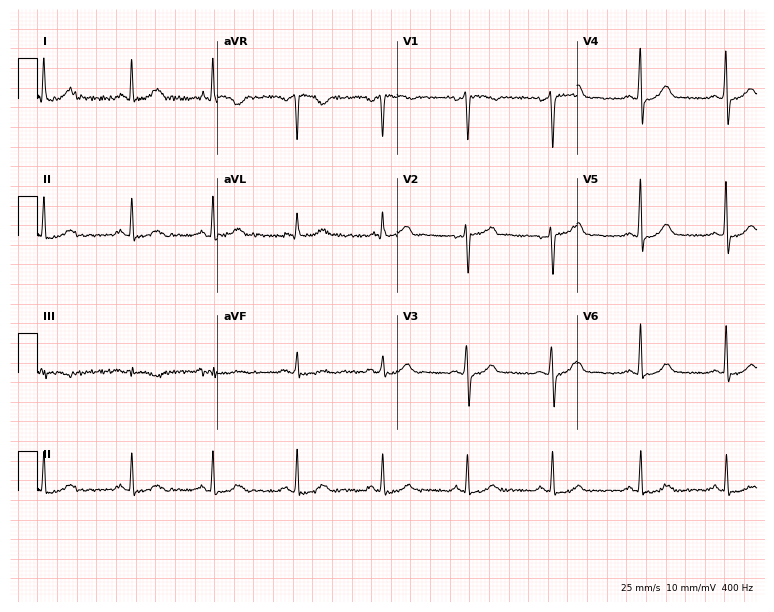
Resting 12-lead electrocardiogram (7.3-second recording at 400 Hz). Patient: a 41-year-old female. None of these six findings is recorded: first-degree AV block, right bundle branch block, left bundle branch block, sinus bradycardia, atrial fibrillation, sinus tachycardia.